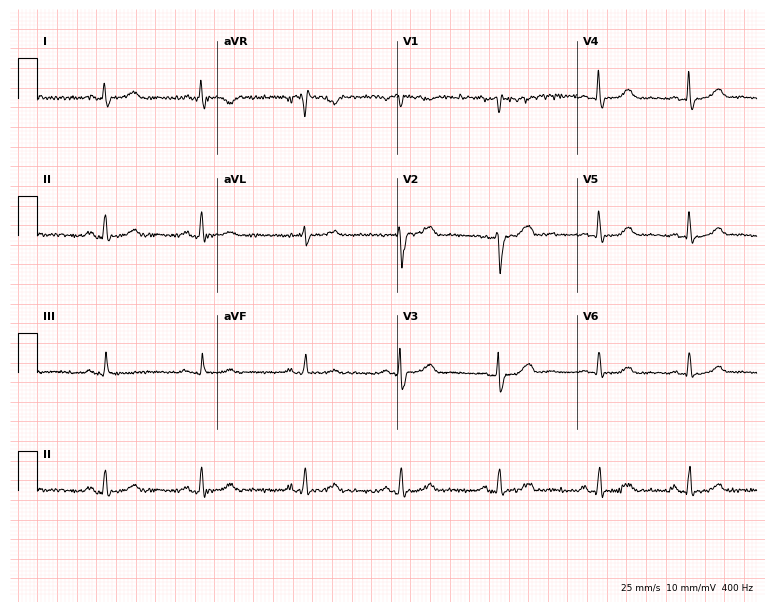
Resting 12-lead electrocardiogram. Patient: a woman, 35 years old. None of these six findings is recorded: first-degree AV block, right bundle branch block, left bundle branch block, sinus bradycardia, atrial fibrillation, sinus tachycardia.